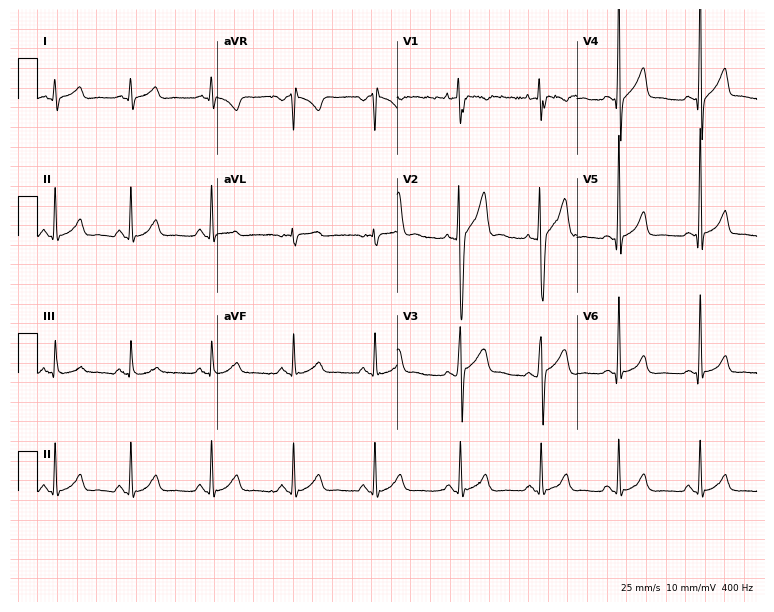
Electrocardiogram (7.3-second recording at 400 Hz), a man, 17 years old. Of the six screened findings (first-degree AV block, right bundle branch block, left bundle branch block, sinus bradycardia, atrial fibrillation, sinus tachycardia), none is recorded.